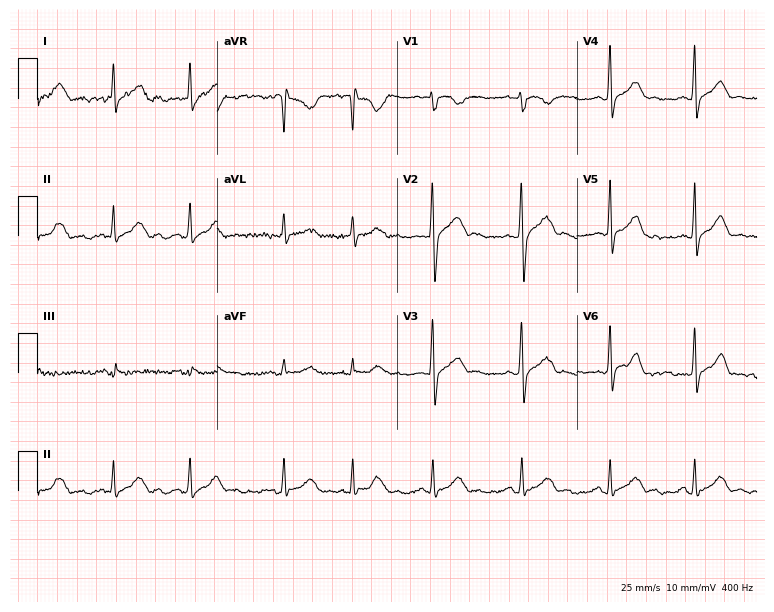
ECG — a 20-year-old female patient. Labelled as a normal ECG.